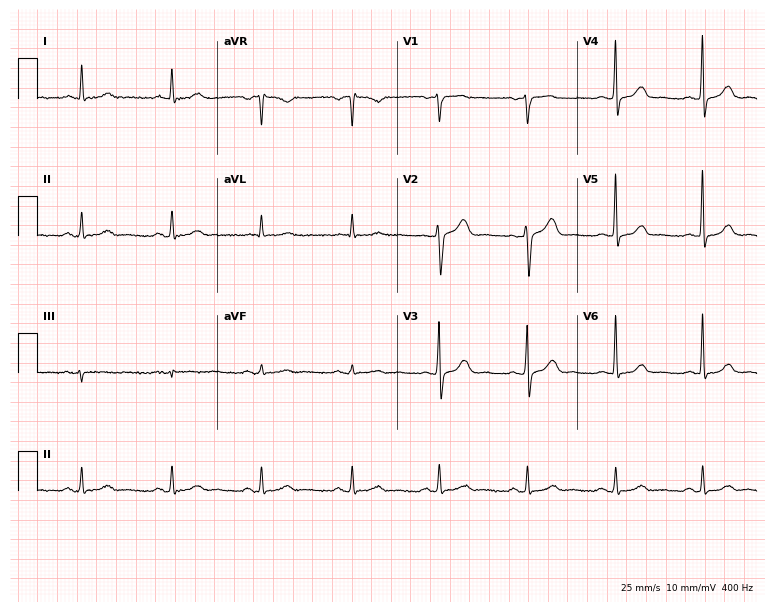
12-lead ECG (7.3-second recording at 400 Hz) from a male patient, 60 years old. Screened for six findings — first-degree AV block, right bundle branch block (RBBB), left bundle branch block (LBBB), sinus bradycardia, atrial fibrillation (AF), sinus tachycardia — none is recorded.